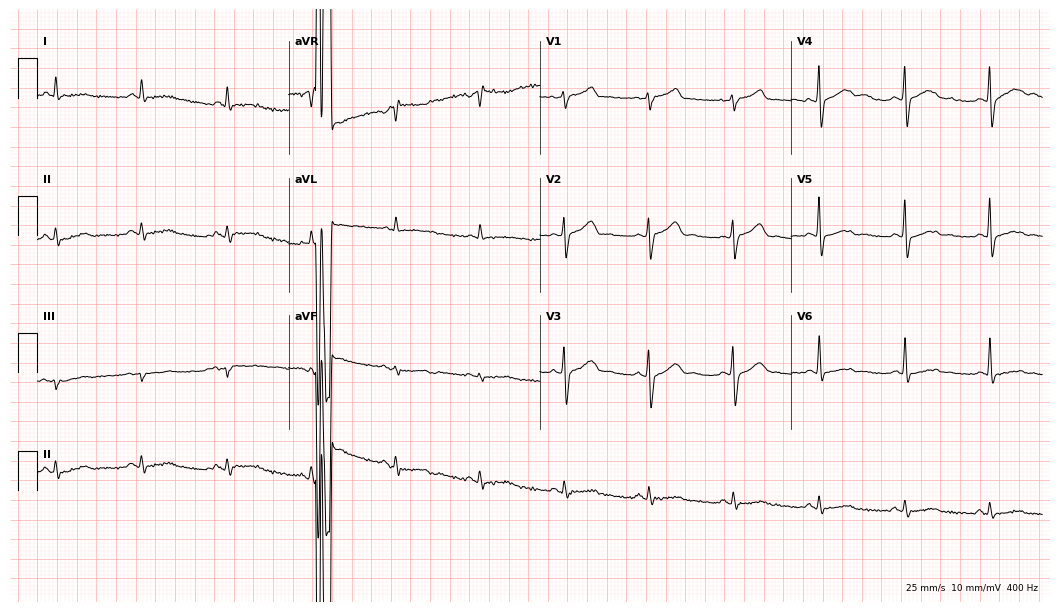
Standard 12-lead ECG recorded from a male, 63 years old. None of these six findings is recorded: first-degree AV block, right bundle branch block (RBBB), left bundle branch block (LBBB), sinus bradycardia, atrial fibrillation (AF), sinus tachycardia.